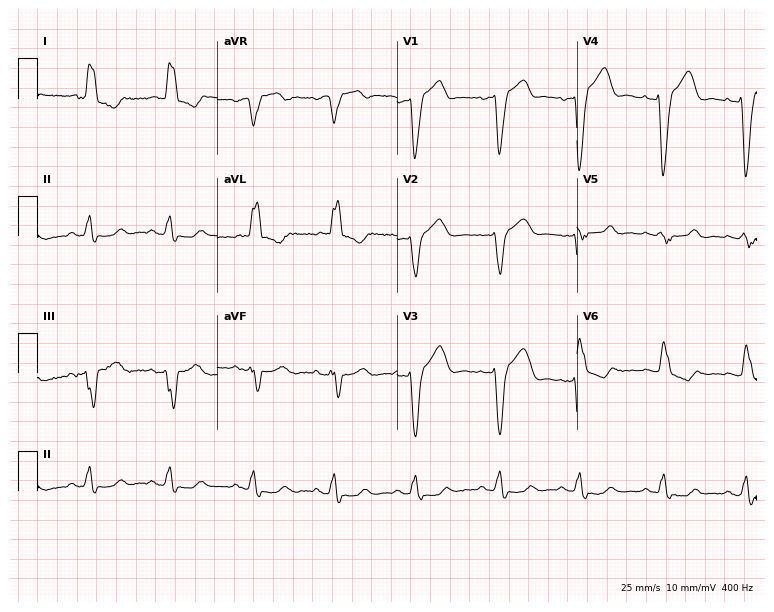
12-lead ECG from a woman, 83 years old. Shows left bundle branch block.